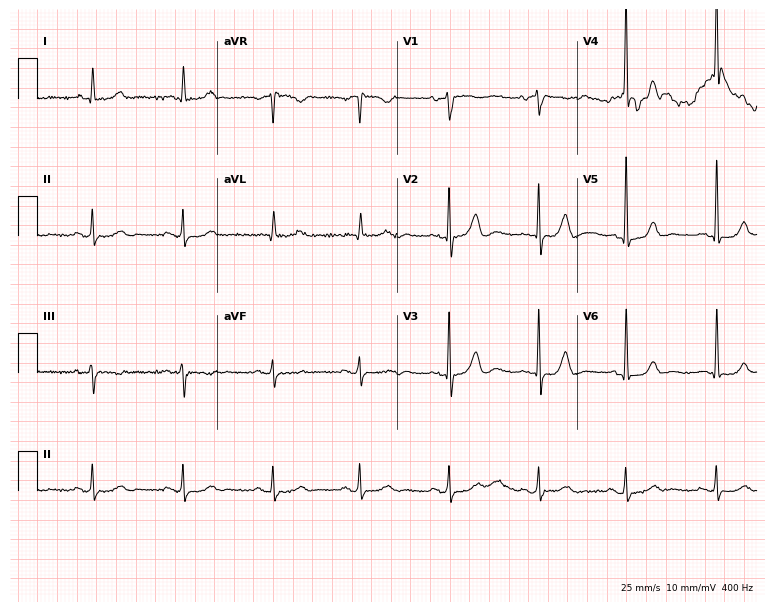
Resting 12-lead electrocardiogram (7.3-second recording at 400 Hz). Patient: a 79-year-old man. Read as a normal ECG.